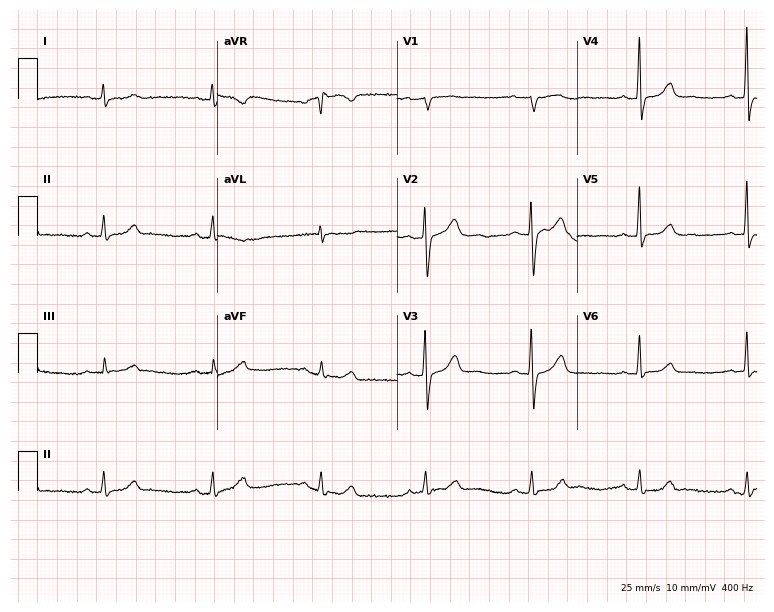
ECG (7.3-second recording at 400 Hz) — a 62-year-old female. Labelled as a normal ECG.